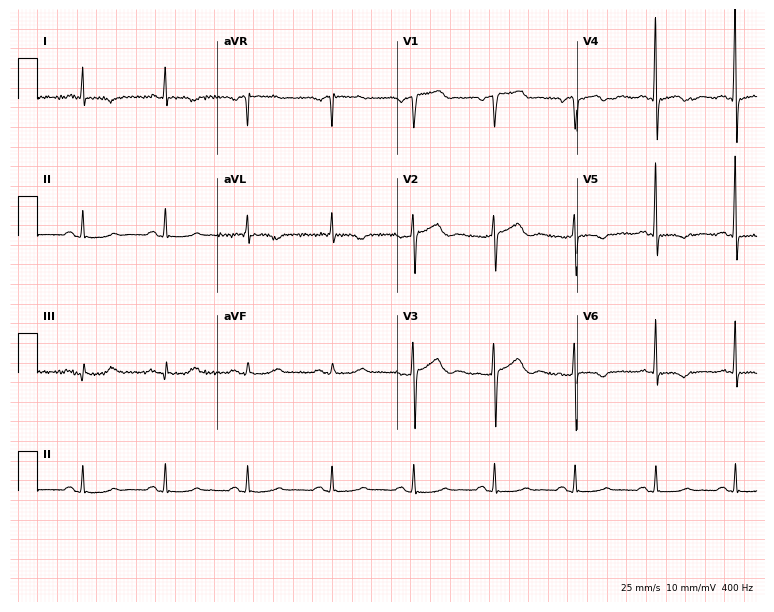
12-lead ECG (7.3-second recording at 400 Hz) from a female, 75 years old. Screened for six findings — first-degree AV block, right bundle branch block, left bundle branch block, sinus bradycardia, atrial fibrillation, sinus tachycardia — none is recorded.